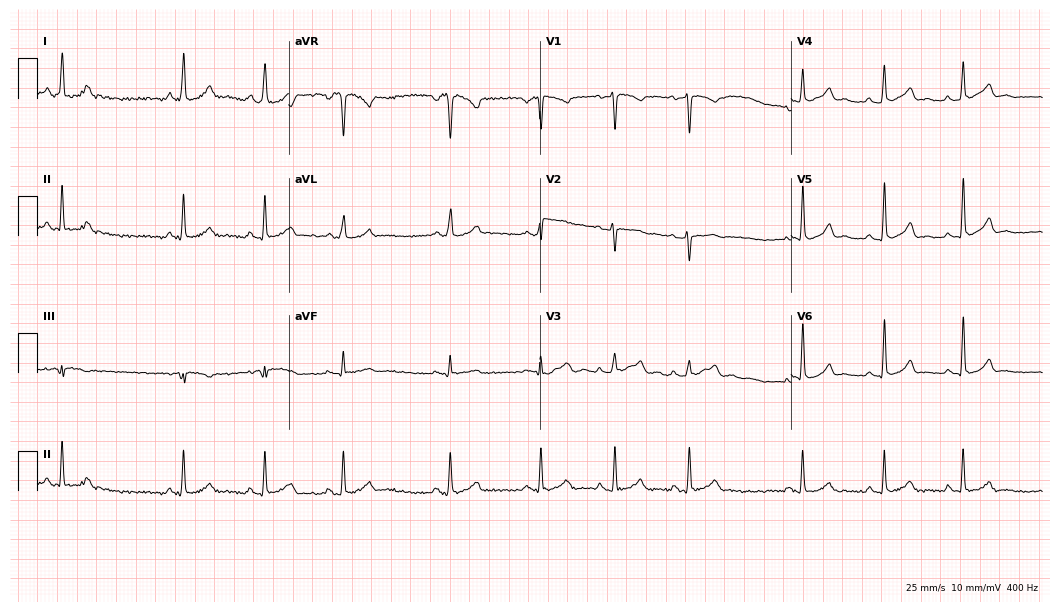
Standard 12-lead ECG recorded from a female, 21 years old (10.2-second recording at 400 Hz). Read as a normal ECG.